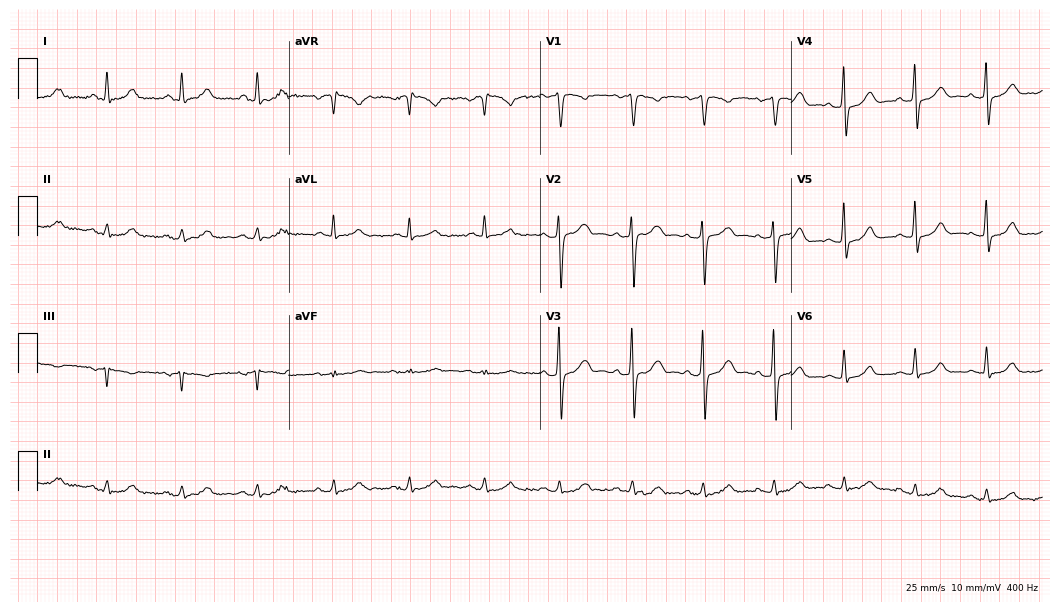
Resting 12-lead electrocardiogram (10.2-second recording at 400 Hz). Patient: a man, 55 years old. Read as a normal ECG.